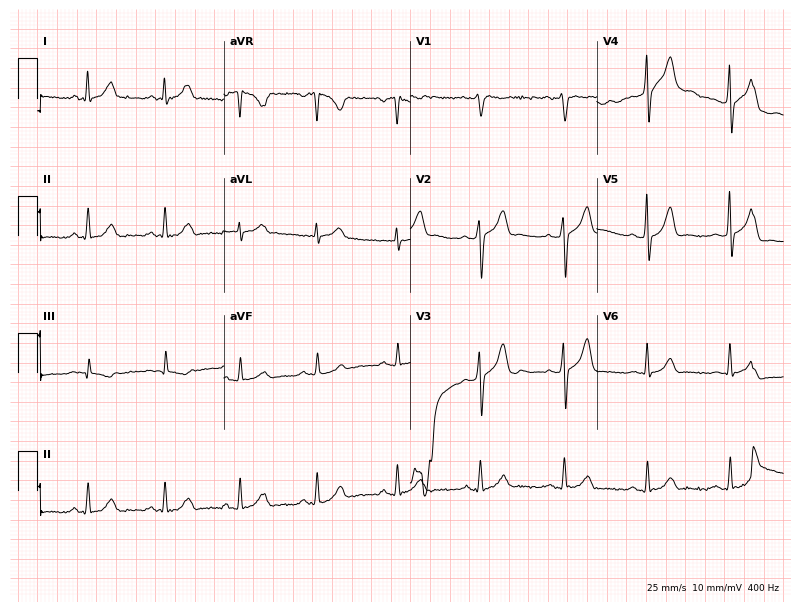
Resting 12-lead electrocardiogram (7.6-second recording at 400 Hz). Patient: a man, 51 years old. None of these six findings is recorded: first-degree AV block, right bundle branch block, left bundle branch block, sinus bradycardia, atrial fibrillation, sinus tachycardia.